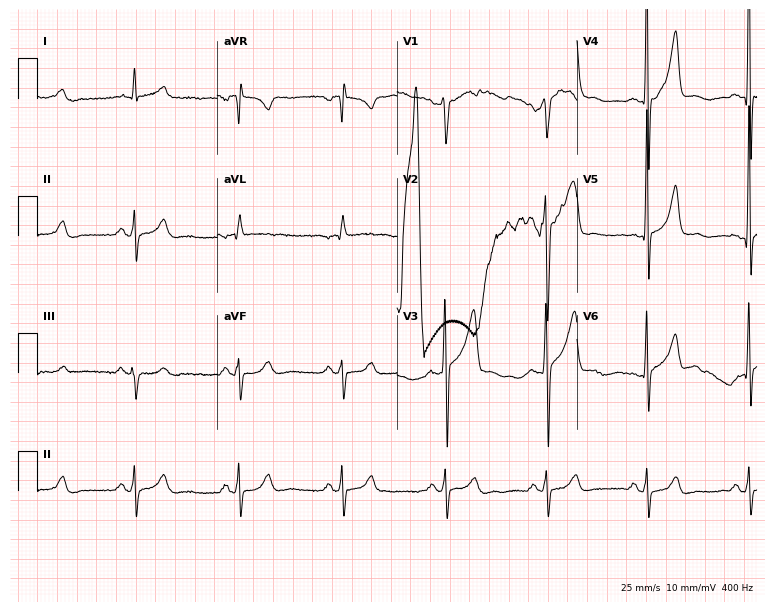
12-lead ECG from a 64-year-old male patient. No first-degree AV block, right bundle branch block, left bundle branch block, sinus bradycardia, atrial fibrillation or sinus tachycardia recorded for this tracing. Other findings, if any, are not listed.